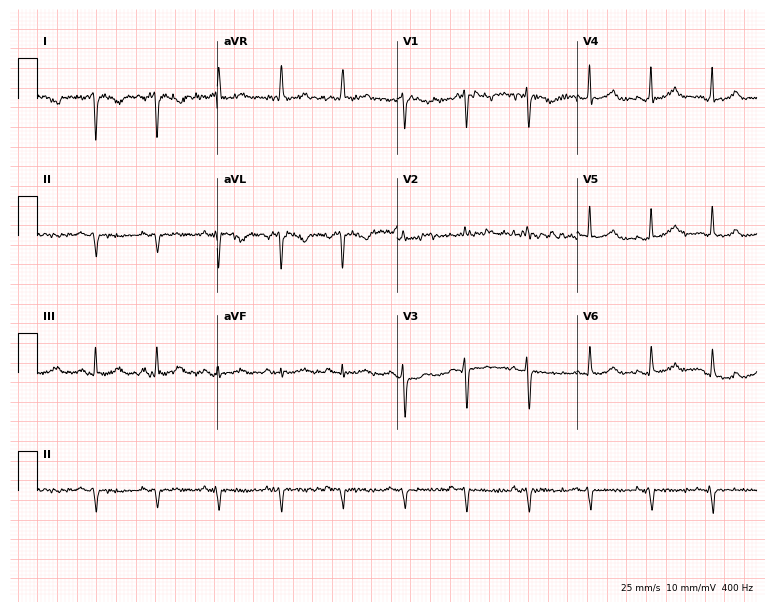
Resting 12-lead electrocardiogram. Patient: a woman, 42 years old. None of these six findings is recorded: first-degree AV block, right bundle branch block (RBBB), left bundle branch block (LBBB), sinus bradycardia, atrial fibrillation (AF), sinus tachycardia.